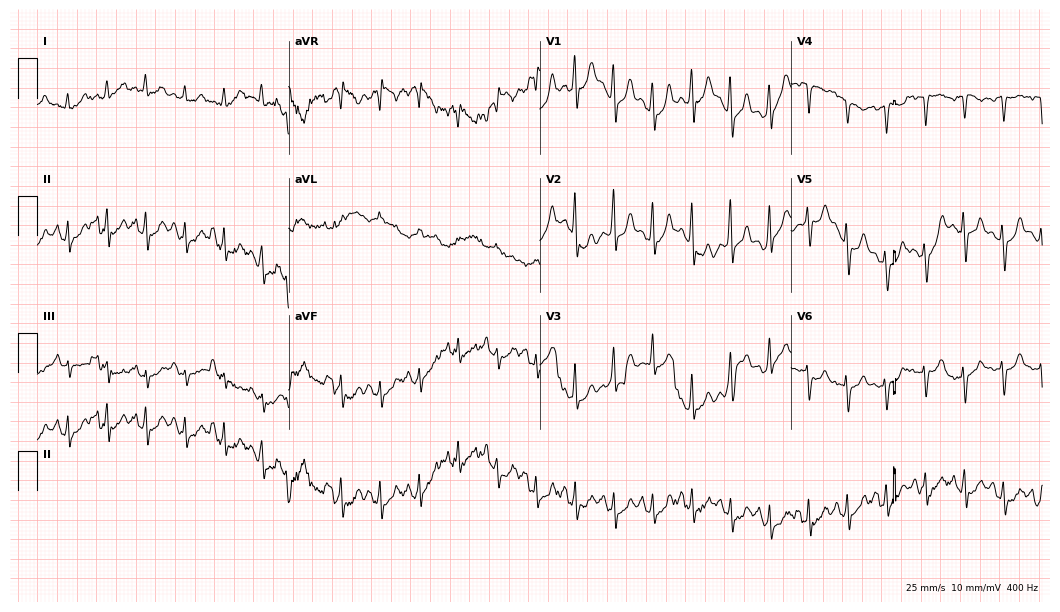
Electrocardiogram, a female, 50 years old. Of the six screened findings (first-degree AV block, right bundle branch block, left bundle branch block, sinus bradycardia, atrial fibrillation, sinus tachycardia), none is recorded.